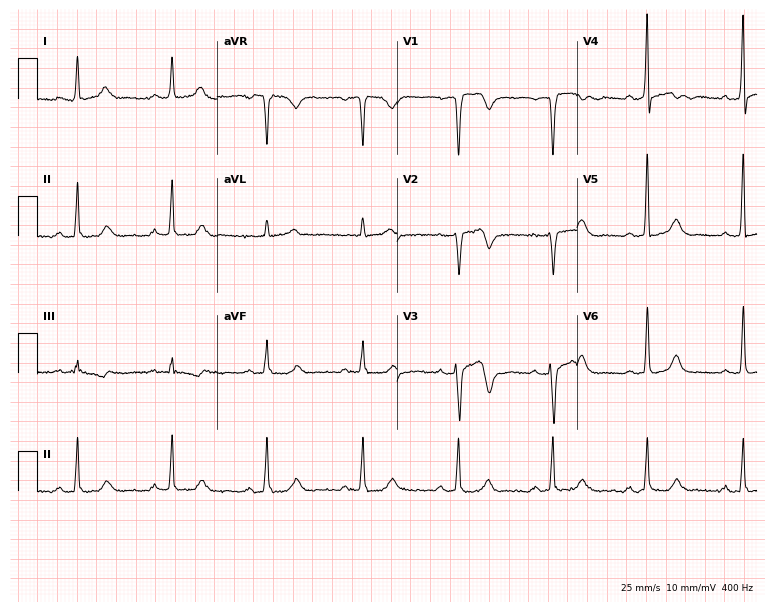
Electrocardiogram, a male, 46 years old. Of the six screened findings (first-degree AV block, right bundle branch block, left bundle branch block, sinus bradycardia, atrial fibrillation, sinus tachycardia), none is recorded.